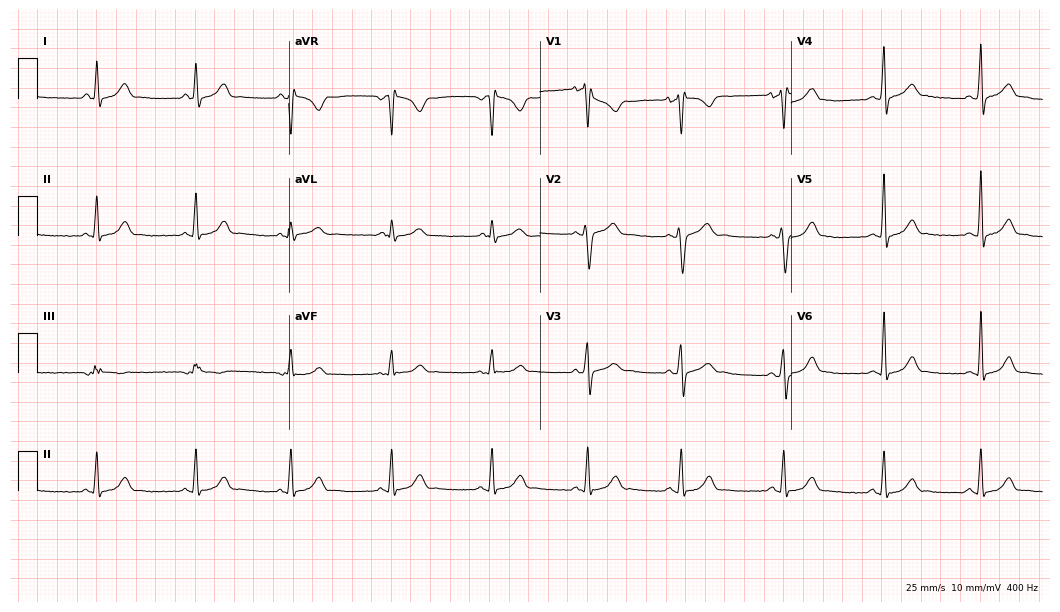
12-lead ECG (10.2-second recording at 400 Hz) from a male patient, 35 years old. Screened for six findings — first-degree AV block, right bundle branch block, left bundle branch block, sinus bradycardia, atrial fibrillation, sinus tachycardia — none is recorded.